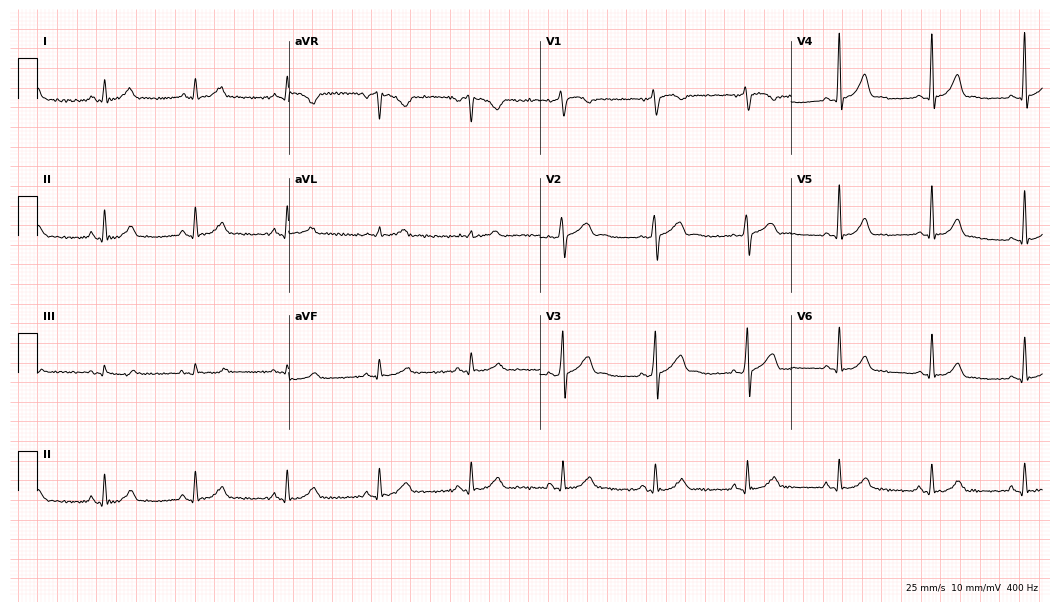
12-lead ECG from a man, 57 years old. Recorded interpretation: within normal limits.